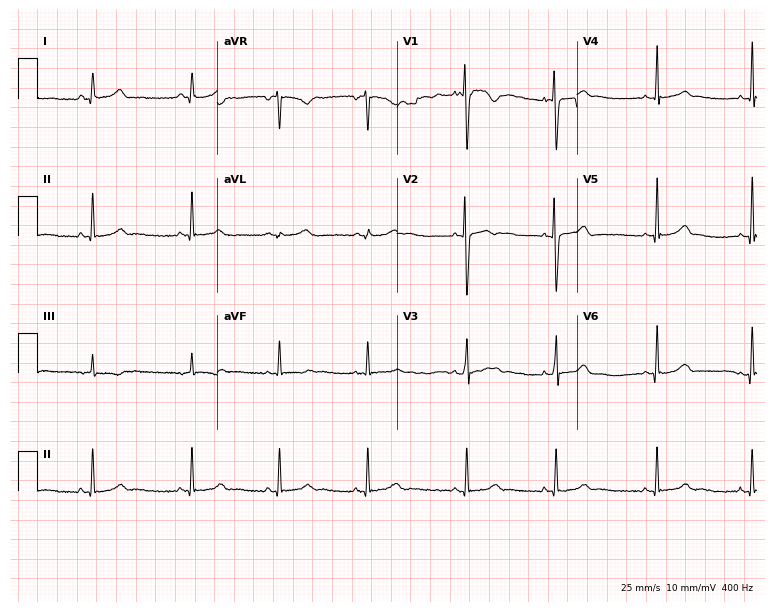
Resting 12-lead electrocardiogram (7.3-second recording at 400 Hz). Patient: a female, 21 years old. Read as a normal ECG.